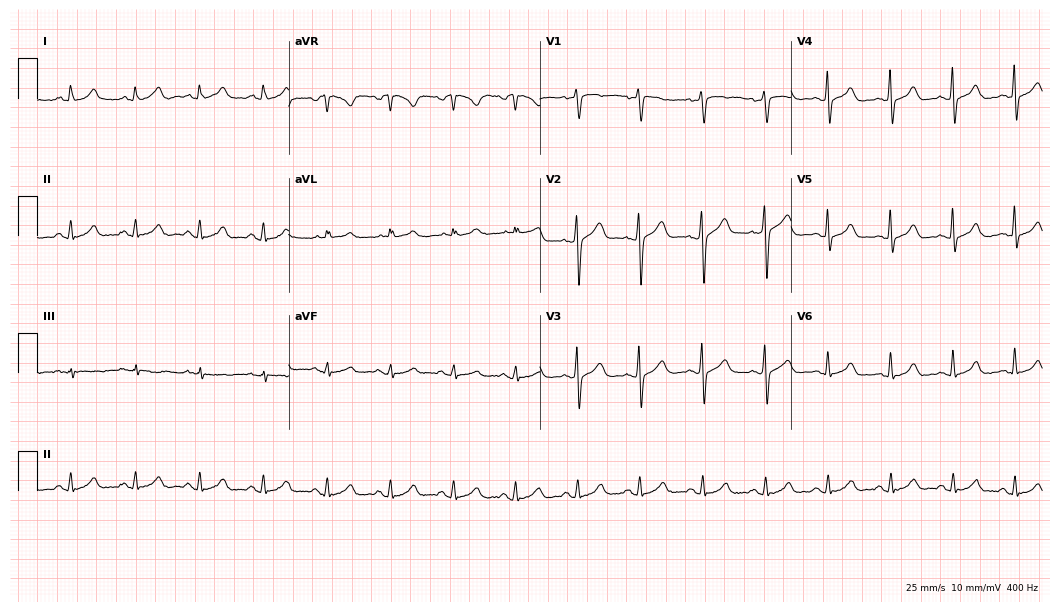
Electrocardiogram (10.2-second recording at 400 Hz), a male, 40 years old. Overall reading on record: normal ECG.